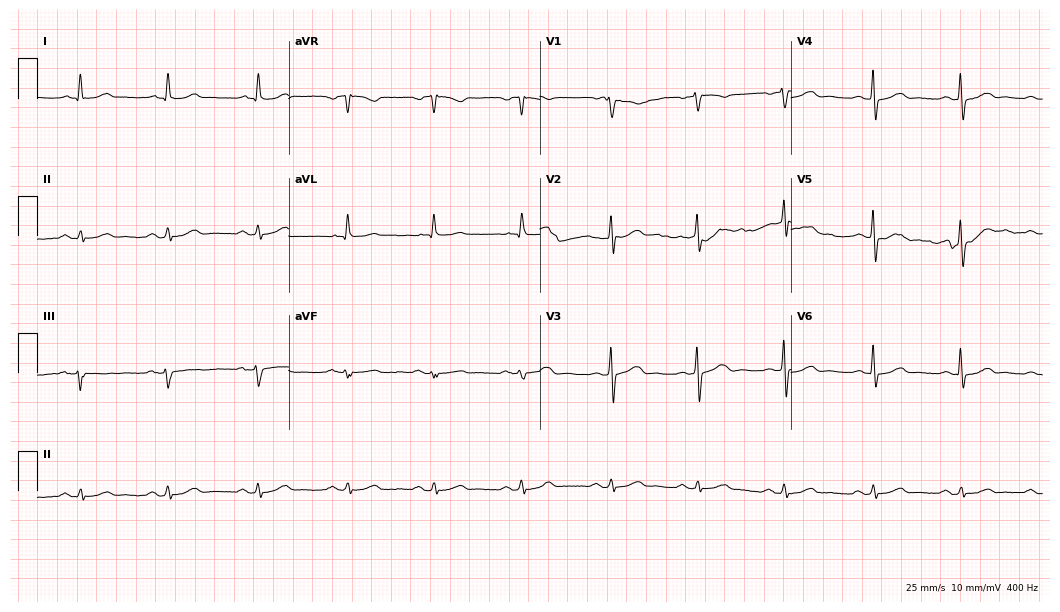
12-lead ECG from a man, 71 years old. No first-degree AV block, right bundle branch block (RBBB), left bundle branch block (LBBB), sinus bradycardia, atrial fibrillation (AF) or sinus tachycardia recorded for this tracing. Only these six findings were labelled.